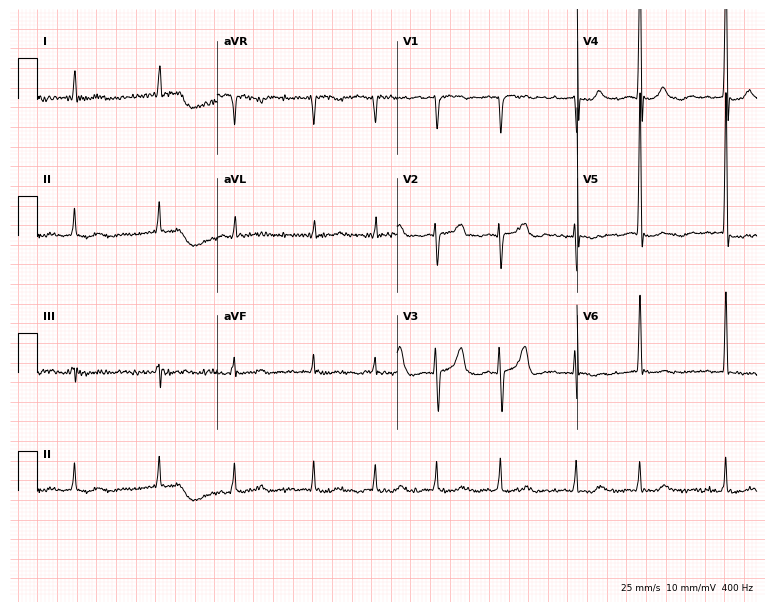
Resting 12-lead electrocardiogram (7.3-second recording at 400 Hz). Patient: a man, 82 years old. The tracing shows atrial fibrillation (AF).